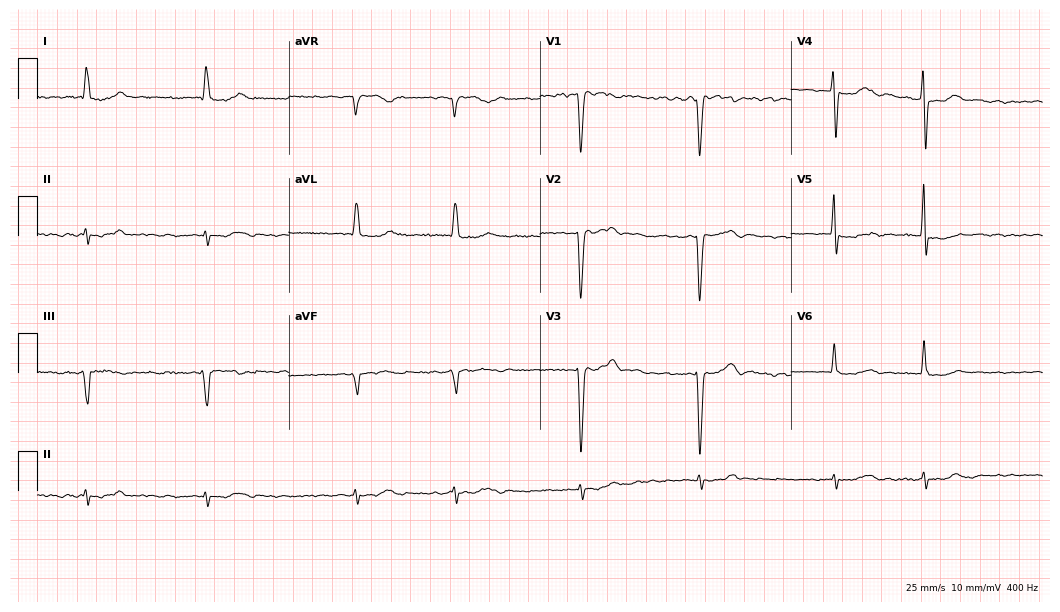
Electrocardiogram (10.2-second recording at 400 Hz), a 79-year-old male. Interpretation includes atrial fibrillation.